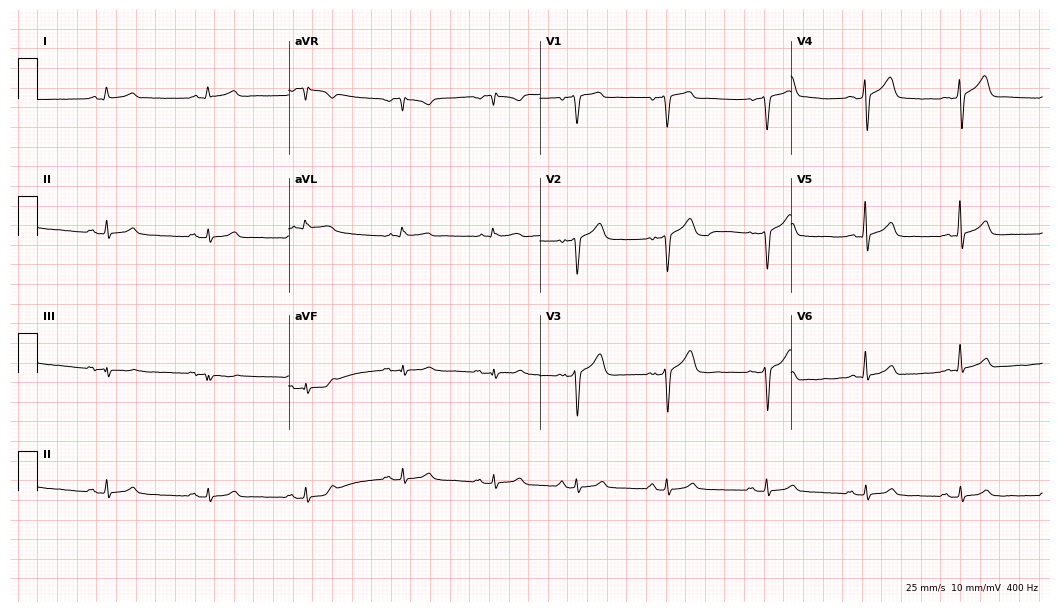
ECG — a male, 46 years old. Labelled as a normal ECG.